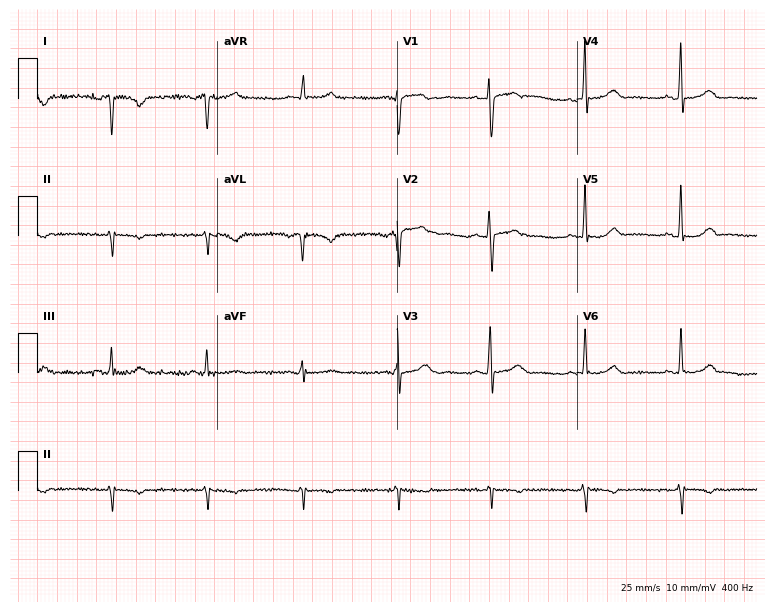
12-lead ECG from a 67-year-old female. Screened for six findings — first-degree AV block, right bundle branch block, left bundle branch block, sinus bradycardia, atrial fibrillation, sinus tachycardia — none is recorded. Findings outside these six are not listed.